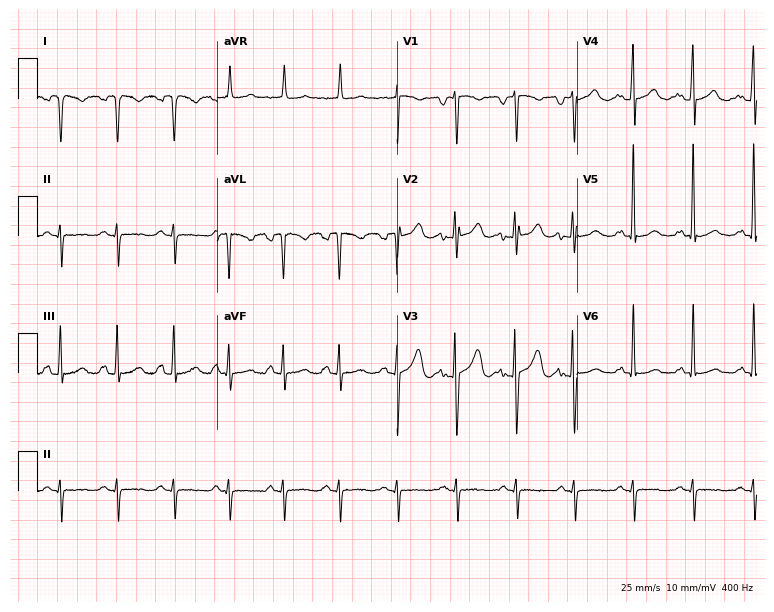
ECG (7.3-second recording at 400 Hz) — a 22-year-old female patient. Screened for six findings — first-degree AV block, right bundle branch block, left bundle branch block, sinus bradycardia, atrial fibrillation, sinus tachycardia — none is recorded.